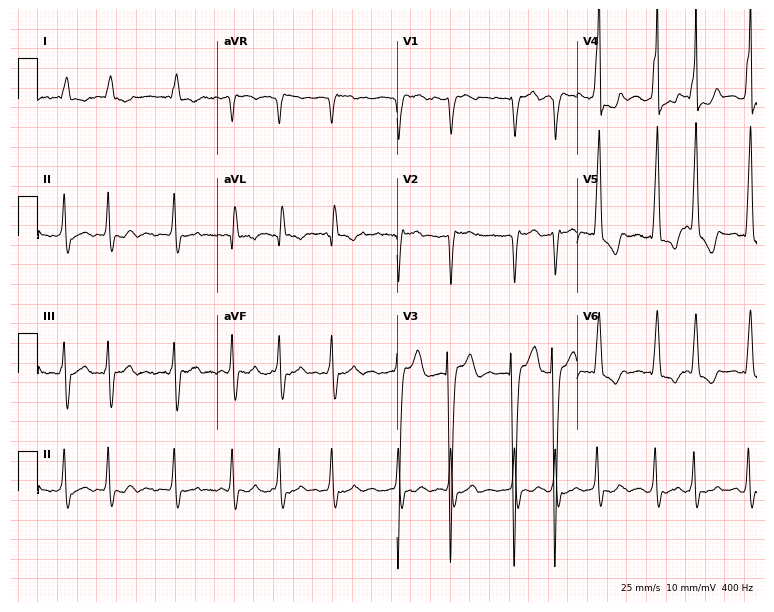
Electrocardiogram (7.3-second recording at 400 Hz), a 78-year-old female patient. Interpretation includes atrial fibrillation.